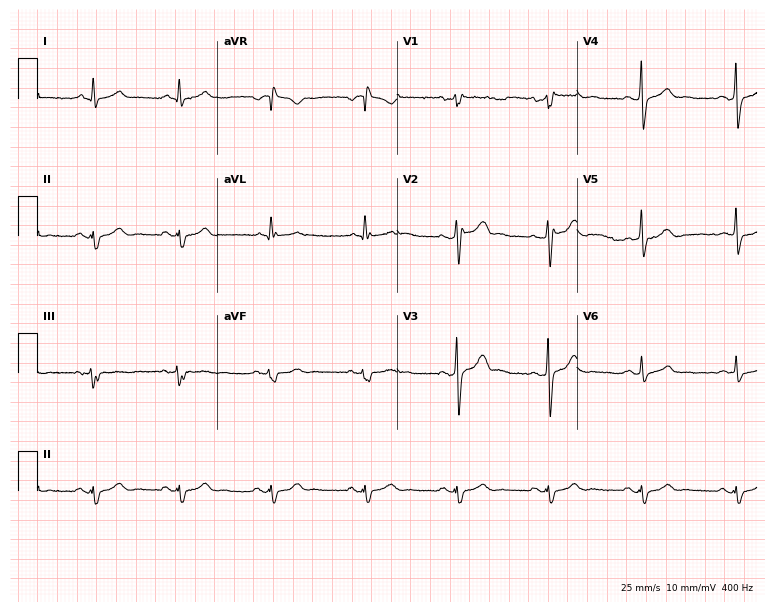
Resting 12-lead electrocardiogram (7.3-second recording at 400 Hz). Patient: a 34-year-old male. None of these six findings is recorded: first-degree AV block, right bundle branch block (RBBB), left bundle branch block (LBBB), sinus bradycardia, atrial fibrillation (AF), sinus tachycardia. Other findings, if any, are not listed.